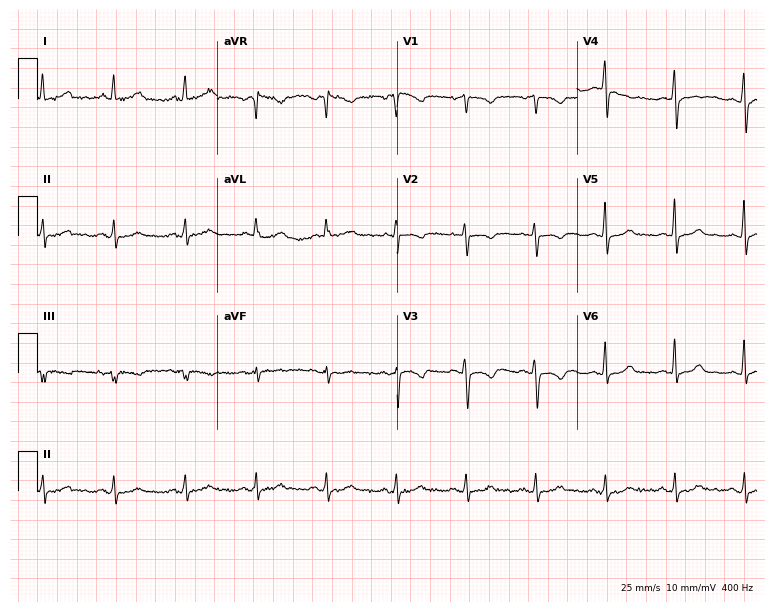
12-lead ECG from a female, 53 years old. Screened for six findings — first-degree AV block, right bundle branch block (RBBB), left bundle branch block (LBBB), sinus bradycardia, atrial fibrillation (AF), sinus tachycardia — none is recorded.